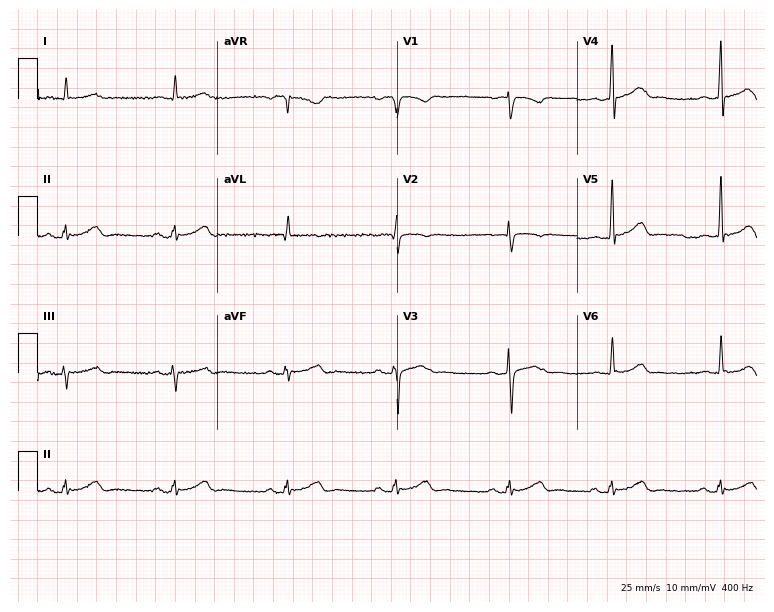
12-lead ECG (7.3-second recording at 400 Hz) from a 67-year-old male. Labelled as a normal ECG.